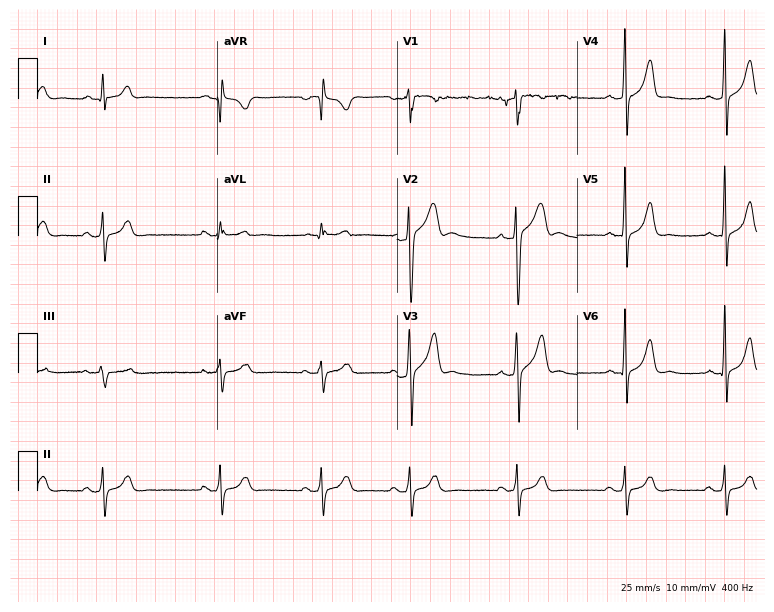
12-lead ECG (7.3-second recording at 400 Hz) from a 20-year-old male. Labelled as a normal ECG.